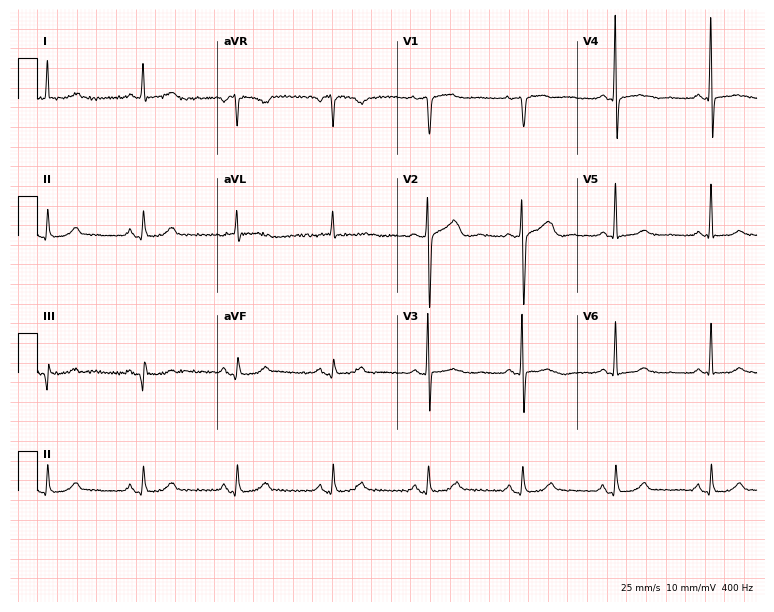
Electrocardiogram (7.3-second recording at 400 Hz), a 72-year-old female patient. Of the six screened findings (first-degree AV block, right bundle branch block (RBBB), left bundle branch block (LBBB), sinus bradycardia, atrial fibrillation (AF), sinus tachycardia), none is recorded. Other findings, if any, are not listed.